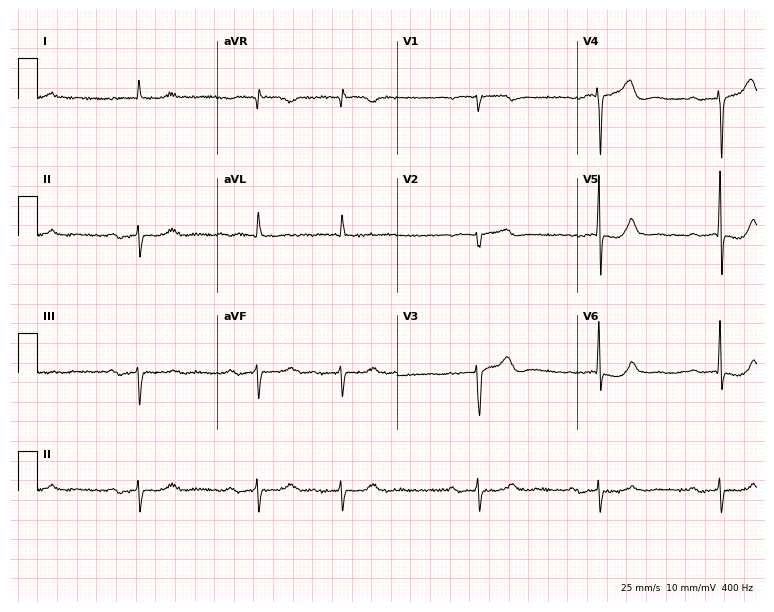
Resting 12-lead electrocardiogram (7.3-second recording at 400 Hz). Patient: a 77-year-old man. The tracing shows first-degree AV block, sinus bradycardia (a sinus rate of 50 beats per minute or less), atrial fibrillation (AF).